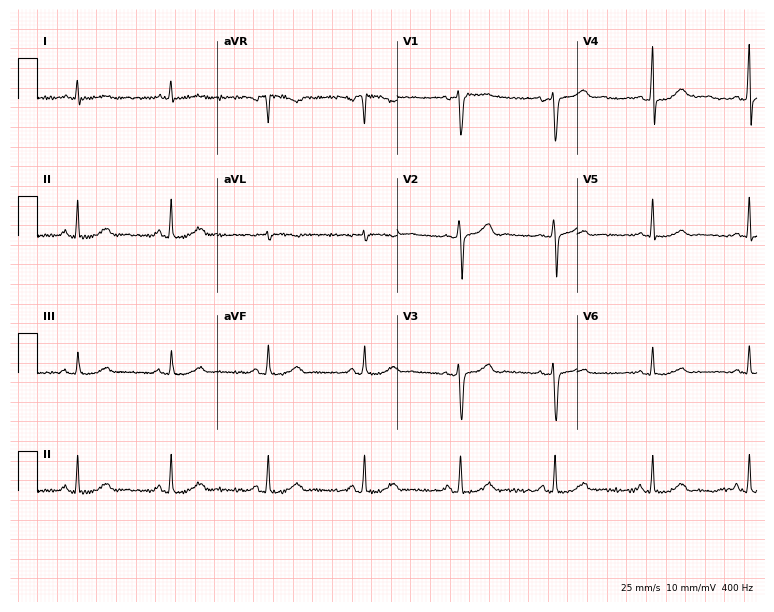
Resting 12-lead electrocardiogram (7.3-second recording at 400 Hz). Patient: a 57-year-old male. None of these six findings is recorded: first-degree AV block, right bundle branch block, left bundle branch block, sinus bradycardia, atrial fibrillation, sinus tachycardia. Findings outside these six are not listed.